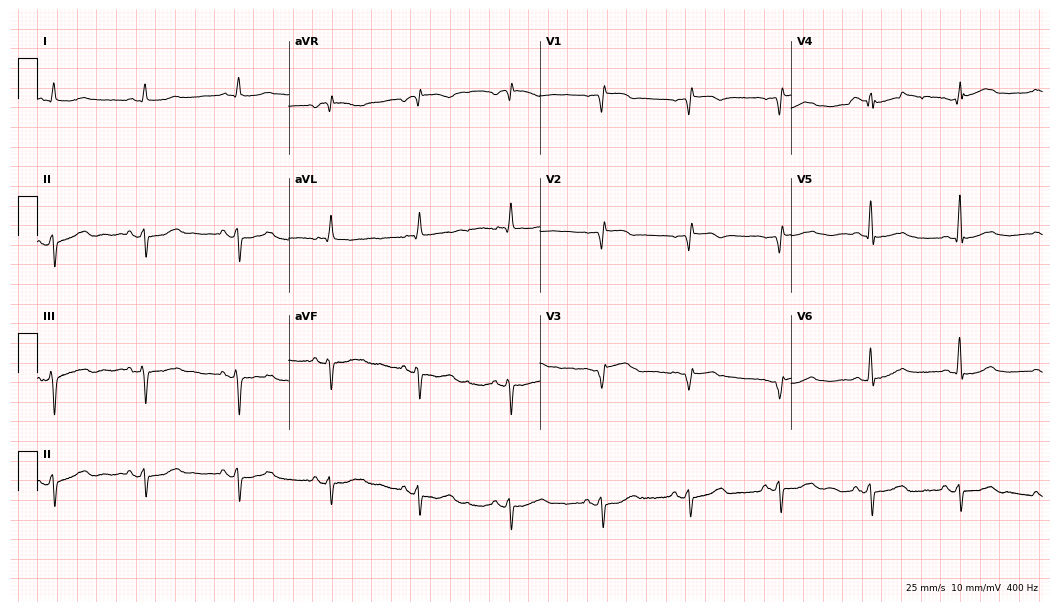
12-lead ECG from a female, 75 years old. No first-degree AV block, right bundle branch block (RBBB), left bundle branch block (LBBB), sinus bradycardia, atrial fibrillation (AF) or sinus tachycardia recorded for this tracing. Other findings, if any, are not listed.